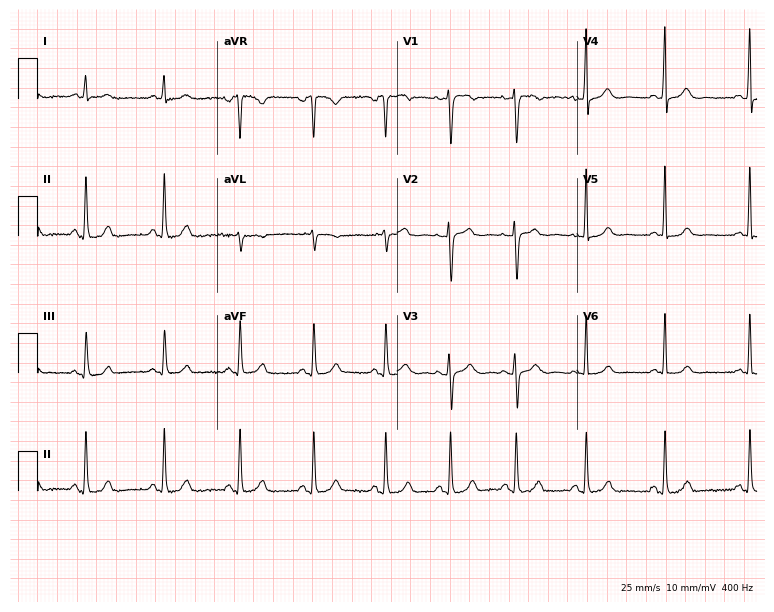
Standard 12-lead ECG recorded from a 29-year-old woman (7.3-second recording at 400 Hz). None of these six findings is recorded: first-degree AV block, right bundle branch block, left bundle branch block, sinus bradycardia, atrial fibrillation, sinus tachycardia. Findings outside these six are not listed.